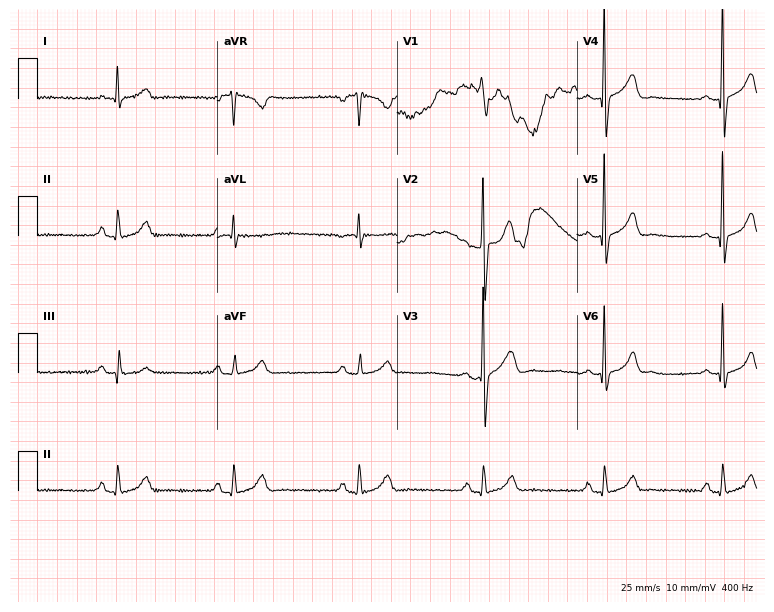
12-lead ECG from a male patient, 50 years old. Findings include sinus bradycardia (a sinus rate of 50 beats per minute or less).